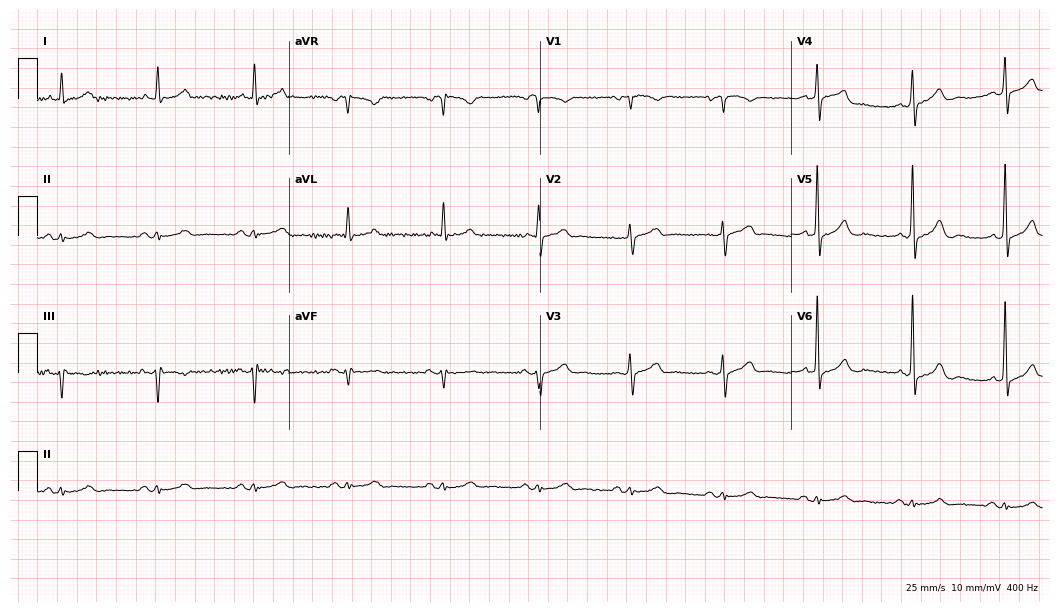
ECG — a 74-year-old man. Labelled as a normal ECG.